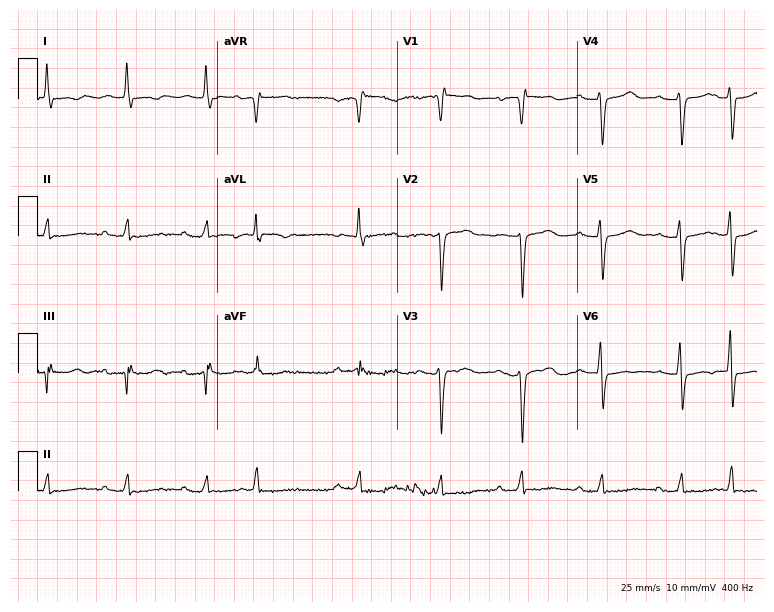
12-lead ECG (7.3-second recording at 400 Hz) from a woman, 83 years old. Screened for six findings — first-degree AV block, right bundle branch block (RBBB), left bundle branch block (LBBB), sinus bradycardia, atrial fibrillation (AF), sinus tachycardia — none is recorded.